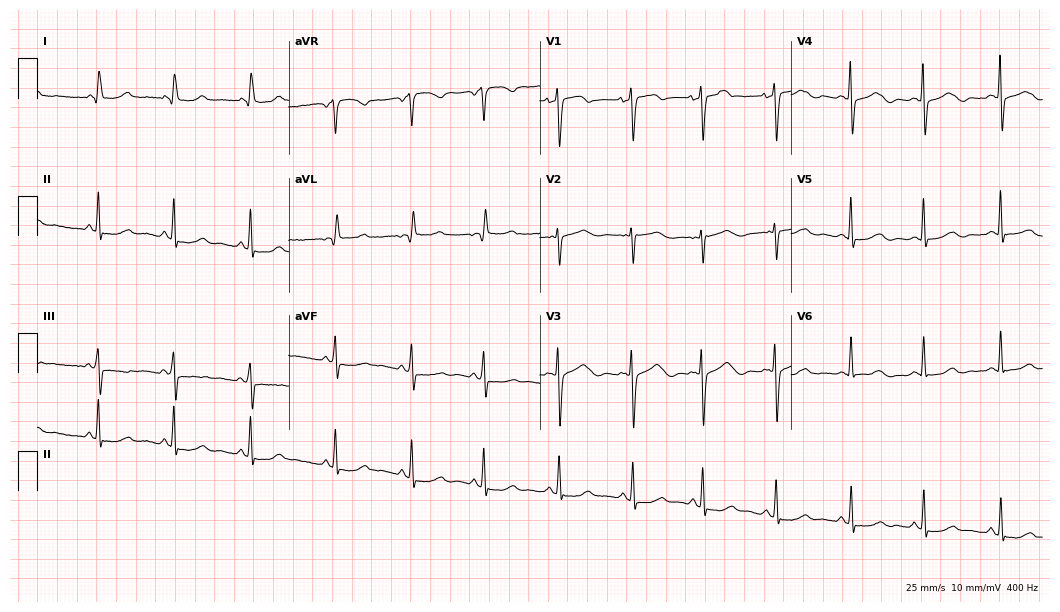
ECG — a woman, 35 years old. Labelled as a normal ECG.